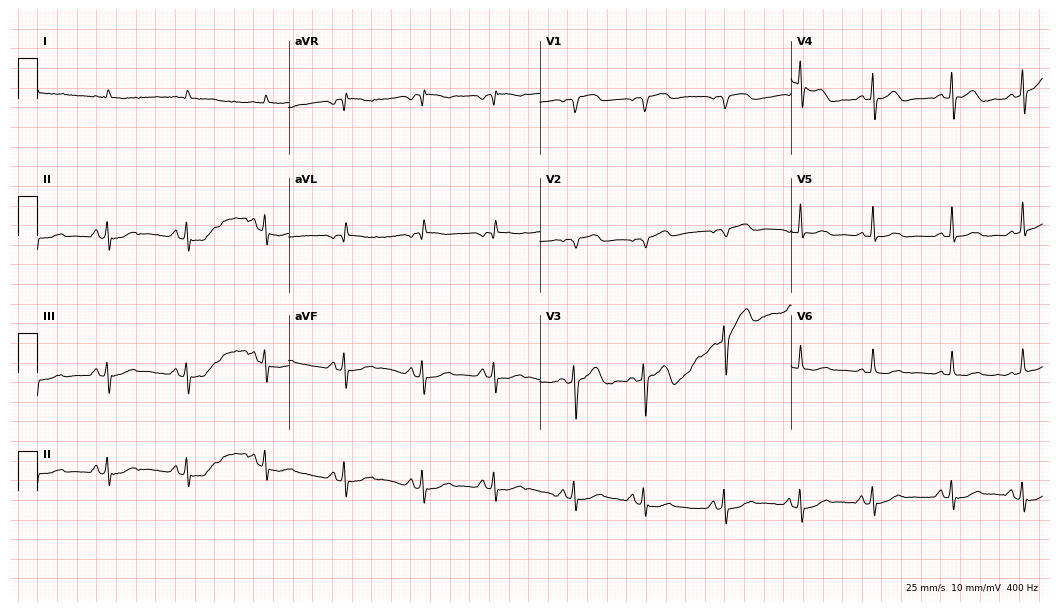
ECG (10.2-second recording at 400 Hz) — an 83-year-old male. Screened for six findings — first-degree AV block, right bundle branch block, left bundle branch block, sinus bradycardia, atrial fibrillation, sinus tachycardia — none is recorded. Only these six findings were labelled.